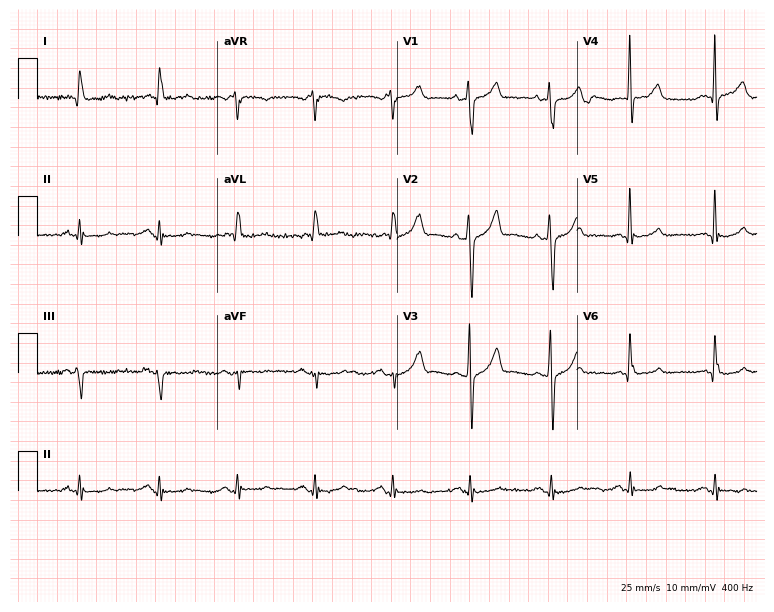
Electrocardiogram, a 60-year-old man. Of the six screened findings (first-degree AV block, right bundle branch block (RBBB), left bundle branch block (LBBB), sinus bradycardia, atrial fibrillation (AF), sinus tachycardia), none is recorded.